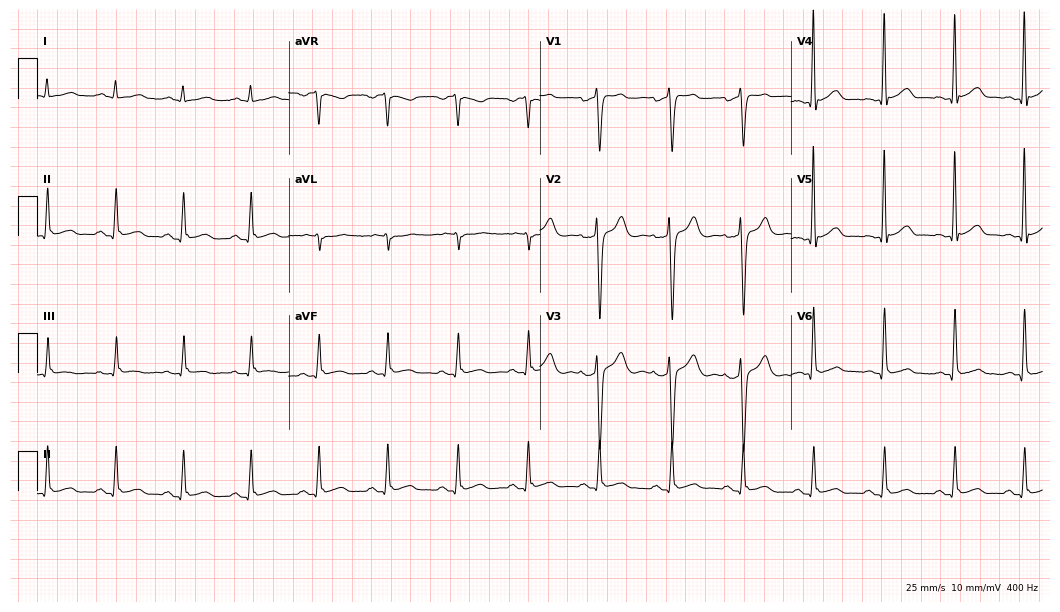
Standard 12-lead ECG recorded from a man, 51 years old (10.2-second recording at 400 Hz). None of these six findings is recorded: first-degree AV block, right bundle branch block, left bundle branch block, sinus bradycardia, atrial fibrillation, sinus tachycardia. Only these six findings were labelled.